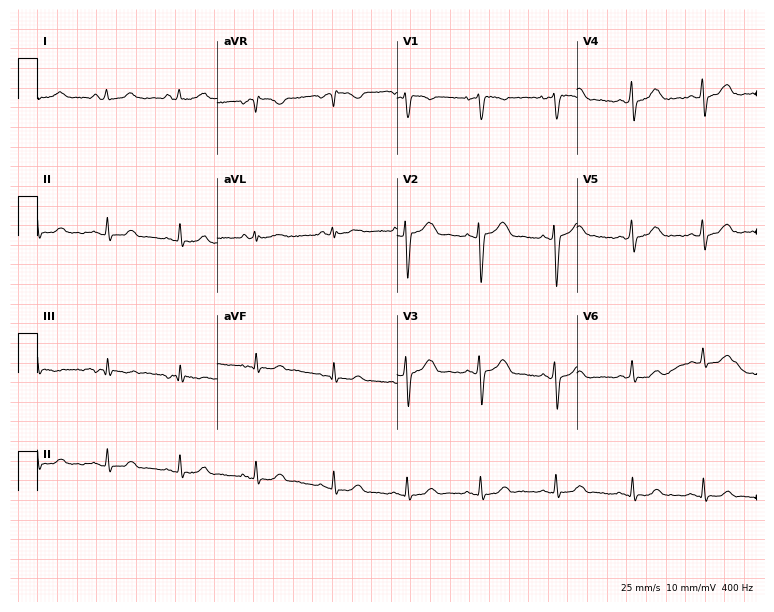
Standard 12-lead ECG recorded from a 23-year-old woman. None of these six findings is recorded: first-degree AV block, right bundle branch block (RBBB), left bundle branch block (LBBB), sinus bradycardia, atrial fibrillation (AF), sinus tachycardia.